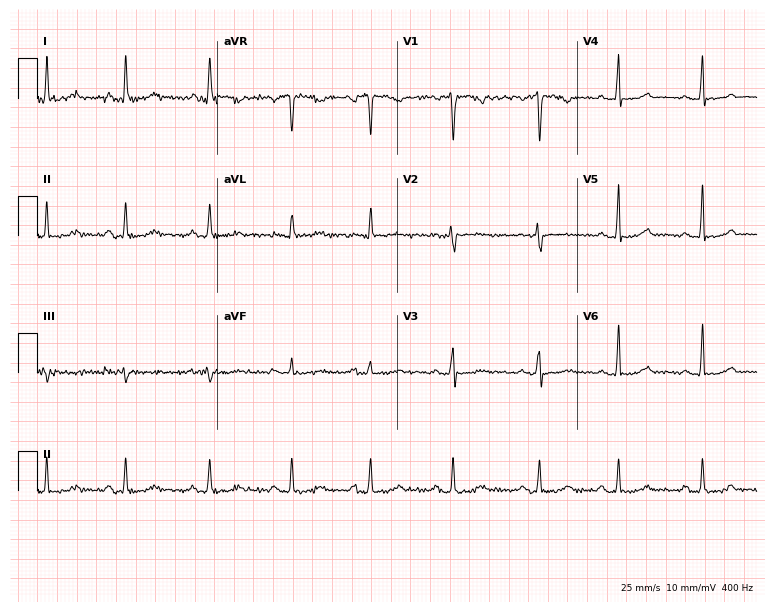
ECG (7.3-second recording at 400 Hz) — a 33-year-old female. Screened for six findings — first-degree AV block, right bundle branch block, left bundle branch block, sinus bradycardia, atrial fibrillation, sinus tachycardia — none is recorded. Other findings, if any, are not listed.